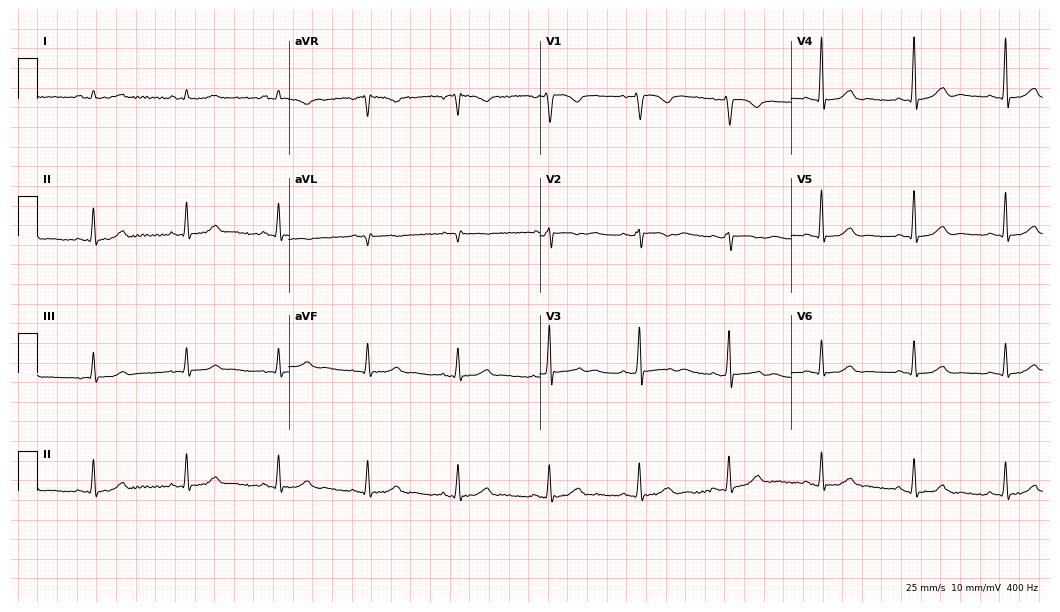
Resting 12-lead electrocardiogram. Patient: a female, 47 years old. None of these six findings is recorded: first-degree AV block, right bundle branch block (RBBB), left bundle branch block (LBBB), sinus bradycardia, atrial fibrillation (AF), sinus tachycardia. Other findings, if any, are not listed.